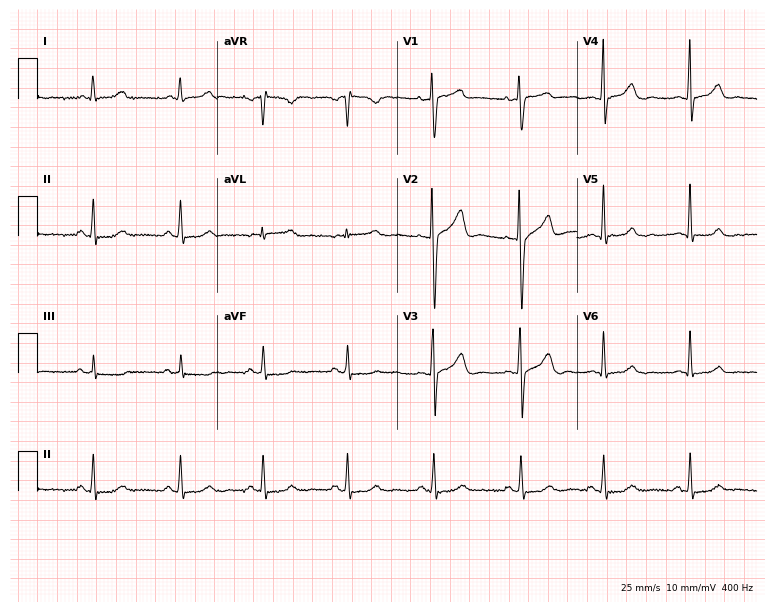
12-lead ECG (7.3-second recording at 400 Hz) from a female, 43 years old. Screened for six findings — first-degree AV block, right bundle branch block (RBBB), left bundle branch block (LBBB), sinus bradycardia, atrial fibrillation (AF), sinus tachycardia — none is recorded.